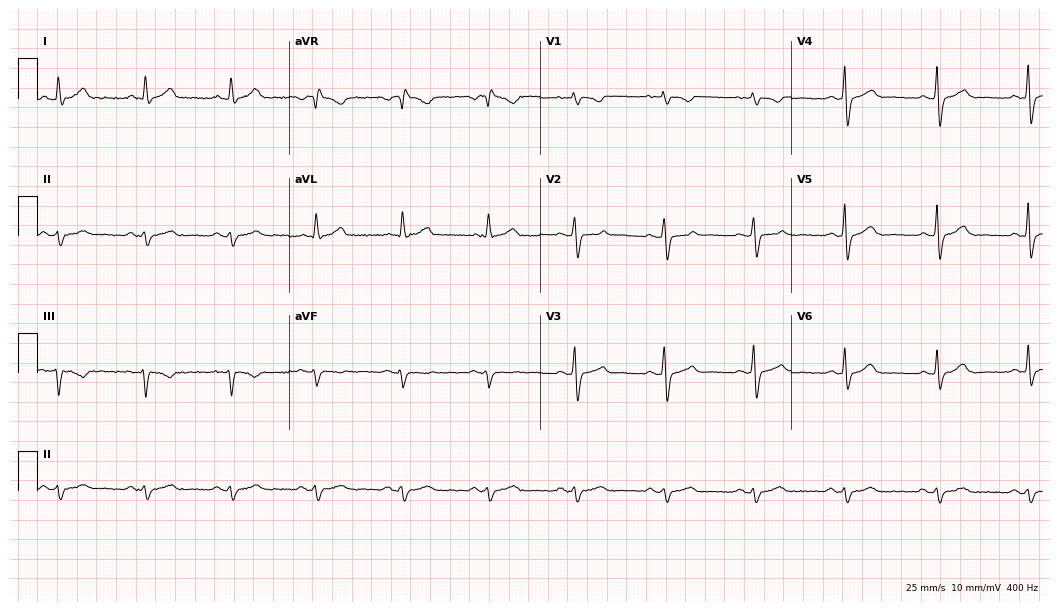
12-lead ECG from a 71-year-old man. Screened for six findings — first-degree AV block, right bundle branch block, left bundle branch block, sinus bradycardia, atrial fibrillation, sinus tachycardia — none is recorded.